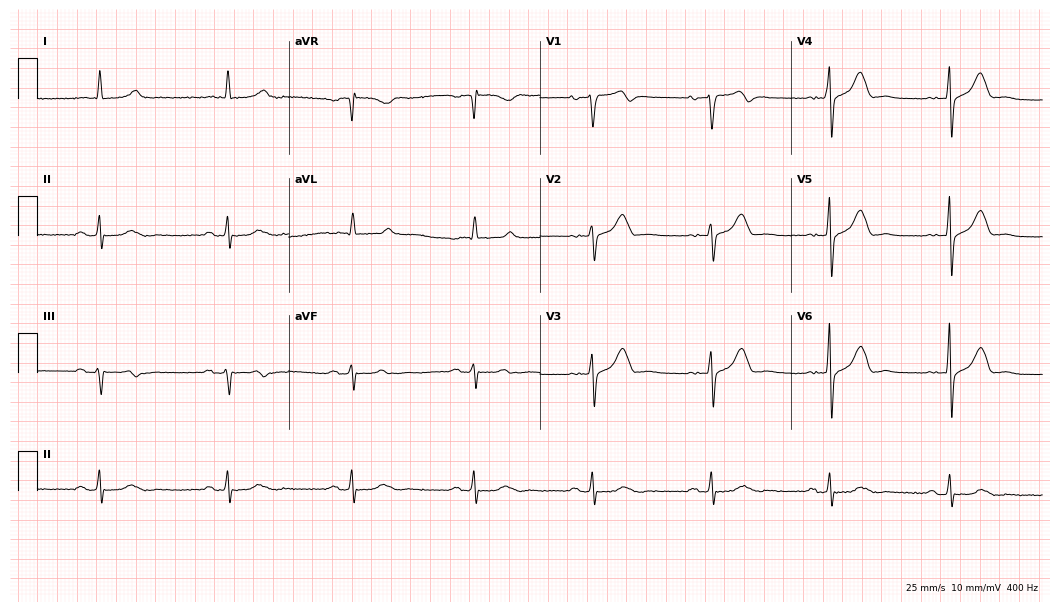
12-lead ECG (10.2-second recording at 400 Hz) from a male patient, 85 years old. Screened for six findings — first-degree AV block, right bundle branch block, left bundle branch block, sinus bradycardia, atrial fibrillation, sinus tachycardia — none is recorded. Only these six findings were labelled.